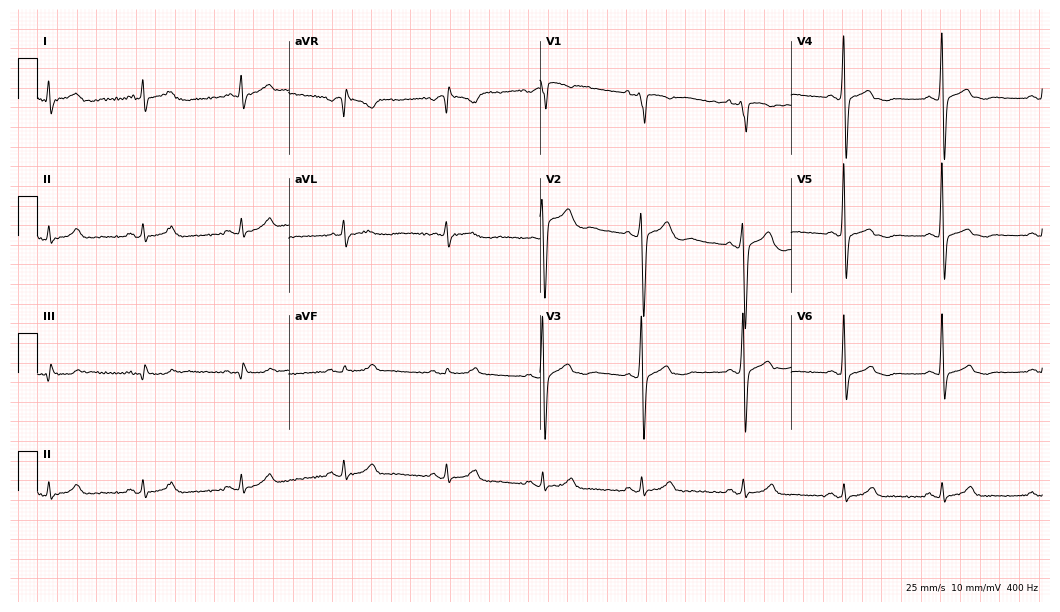
Resting 12-lead electrocardiogram (10.2-second recording at 400 Hz). Patient: a male, 39 years old. Read as a normal ECG.